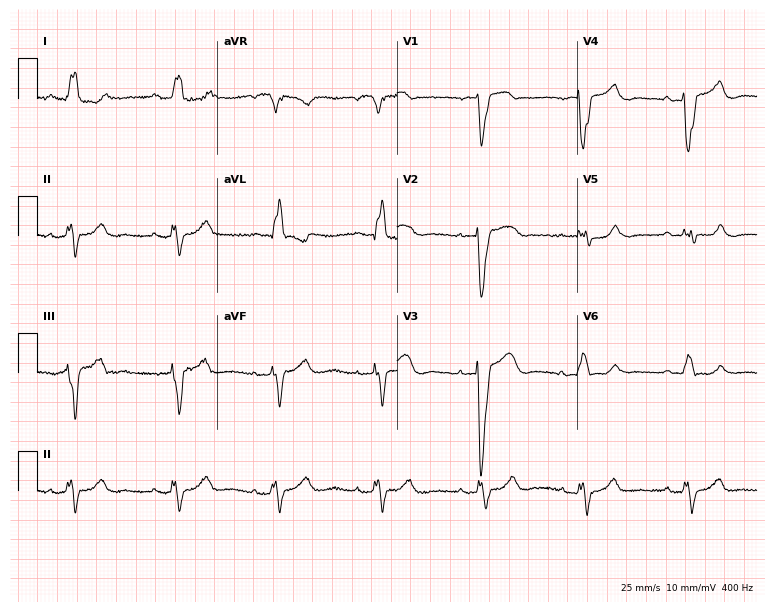
Resting 12-lead electrocardiogram (7.3-second recording at 400 Hz). Patient: a woman, 71 years old. None of these six findings is recorded: first-degree AV block, right bundle branch block, left bundle branch block, sinus bradycardia, atrial fibrillation, sinus tachycardia.